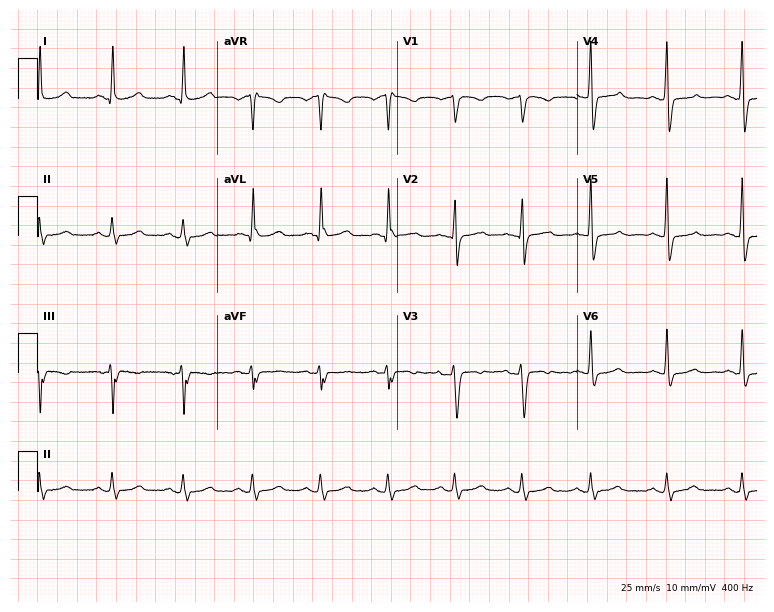
ECG — a 73-year-old female patient. Screened for six findings — first-degree AV block, right bundle branch block (RBBB), left bundle branch block (LBBB), sinus bradycardia, atrial fibrillation (AF), sinus tachycardia — none is recorded. Findings outside these six are not listed.